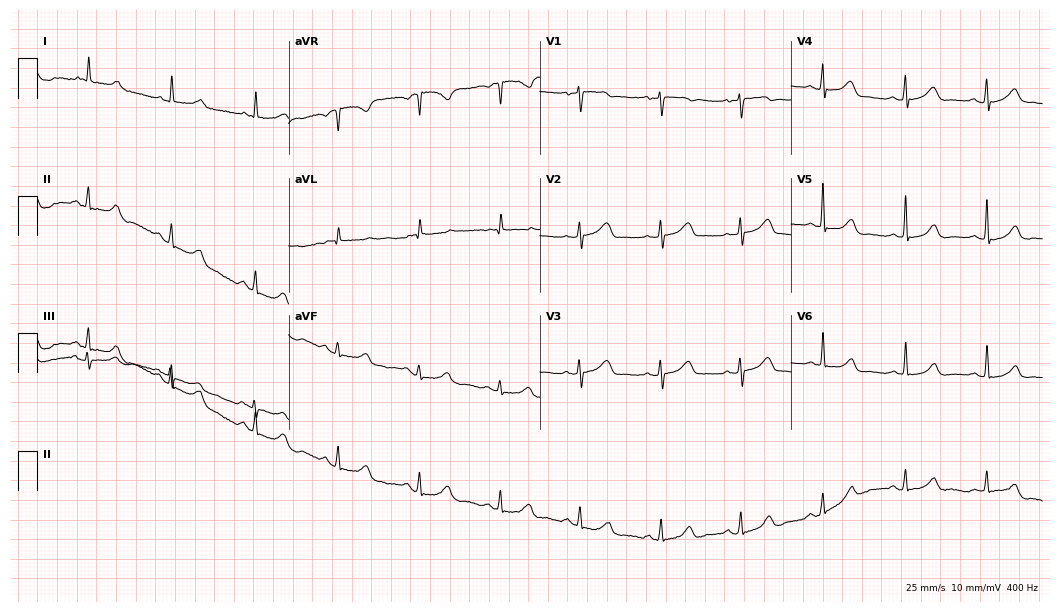
Electrocardiogram (10.2-second recording at 400 Hz), a 61-year-old female patient. Overall reading on record: normal ECG.